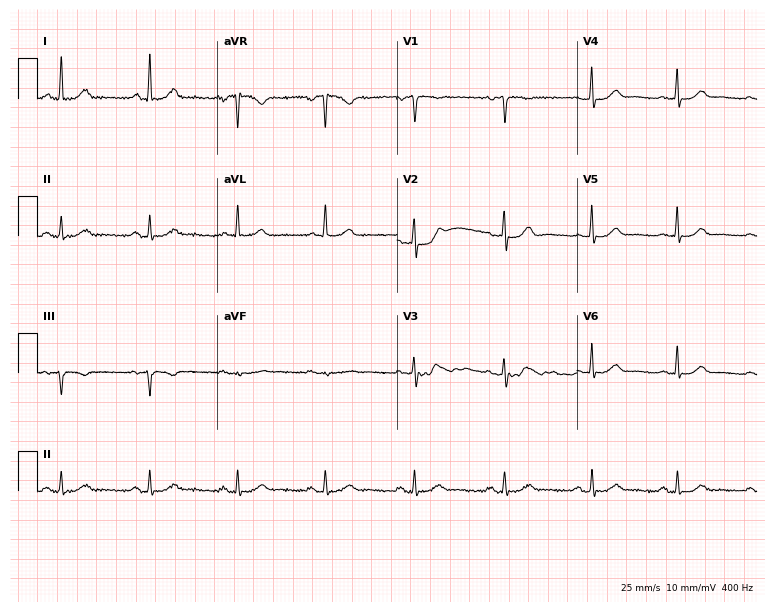
Standard 12-lead ECG recorded from a 63-year-old woman (7.3-second recording at 400 Hz). Read as a normal ECG.